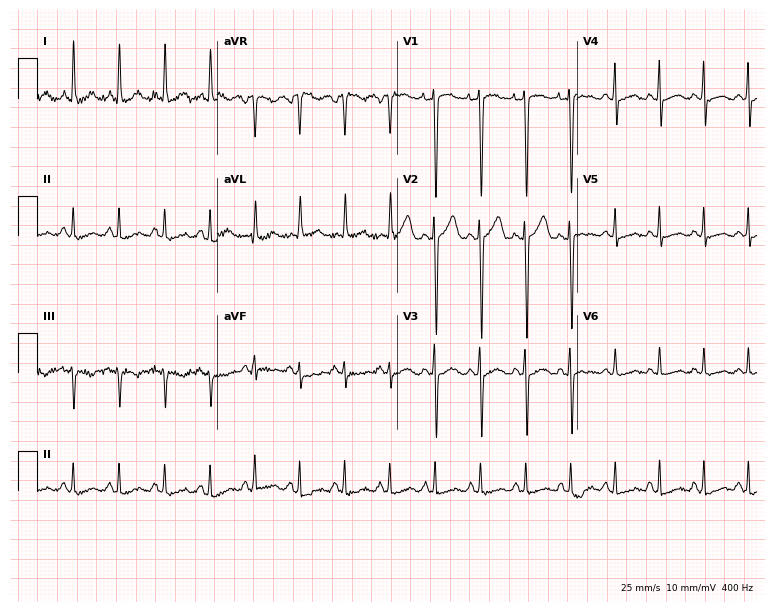
12-lead ECG (7.3-second recording at 400 Hz) from a 37-year-old female patient. Findings include sinus tachycardia (a sinus rate of 100 beats per minute or more).